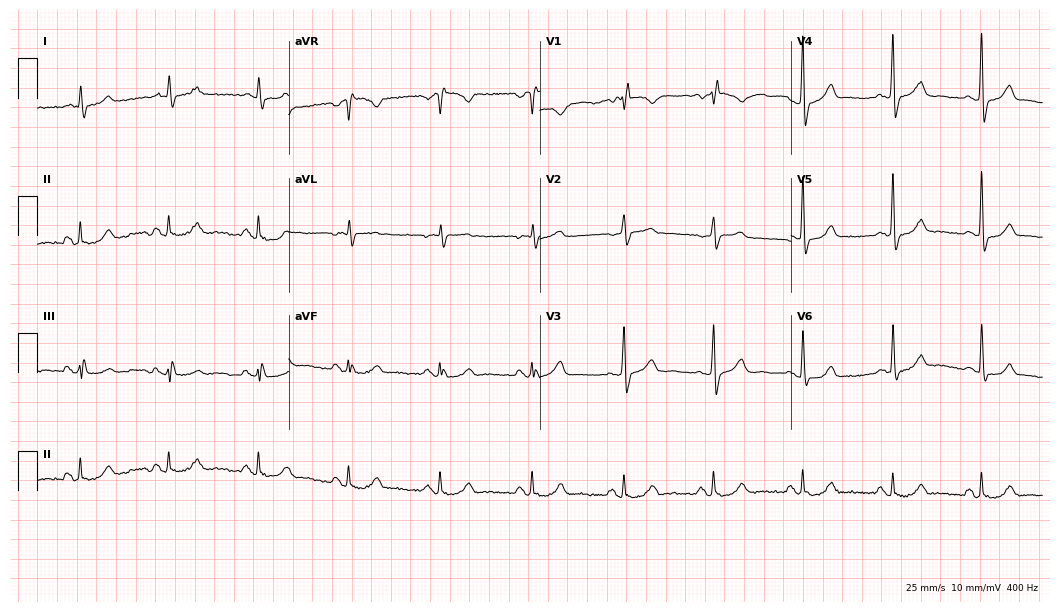
ECG — a male, 70 years old. Screened for six findings — first-degree AV block, right bundle branch block, left bundle branch block, sinus bradycardia, atrial fibrillation, sinus tachycardia — none is recorded.